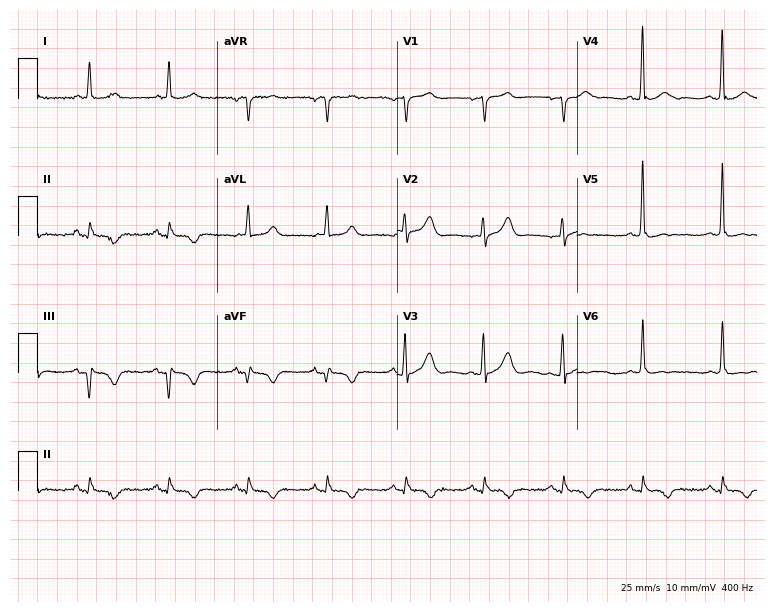
Standard 12-lead ECG recorded from a male, 70 years old (7.3-second recording at 400 Hz). None of these six findings is recorded: first-degree AV block, right bundle branch block, left bundle branch block, sinus bradycardia, atrial fibrillation, sinus tachycardia. Other findings, if any, are not listed.